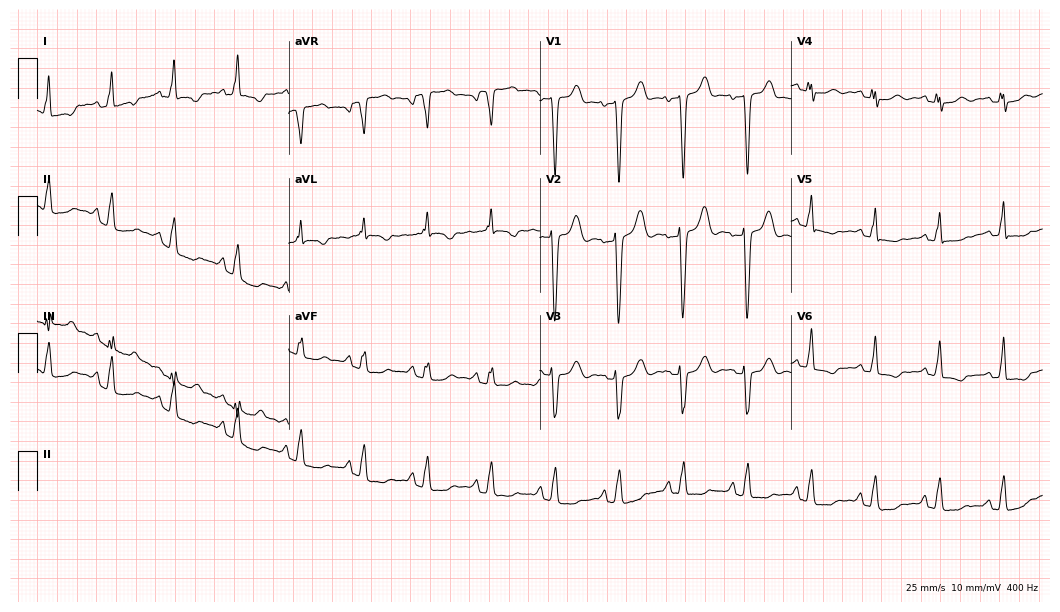
12-lead ECG from a woman, 72 years old. No first-degree AV block, right bundle branch block, left bundle branch block, sinus bradycardia, atrial fibrillation or sinus tachycardia recorded for this tracing. Other findings, if any, are not listed.